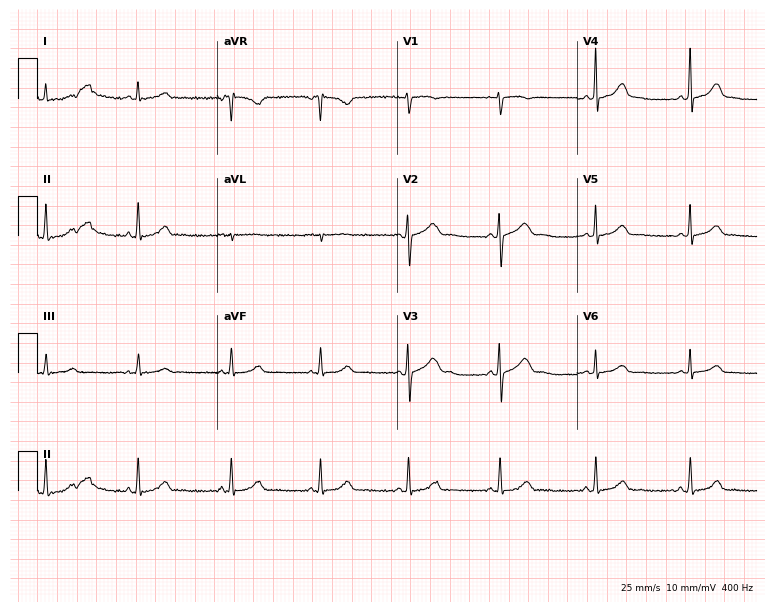
Electrocardiogram (7.3-second recording at 400 Hz), a female patient, 35 years old. Of the six screened findings (first-degree AV block, right bundle branch block (RBBB), left bundle branch block (LBBB), sinus bradycardia, atrial fibrillation (AF), sinus tachycardia), none is recorded. Other findings, if any, are not listed.